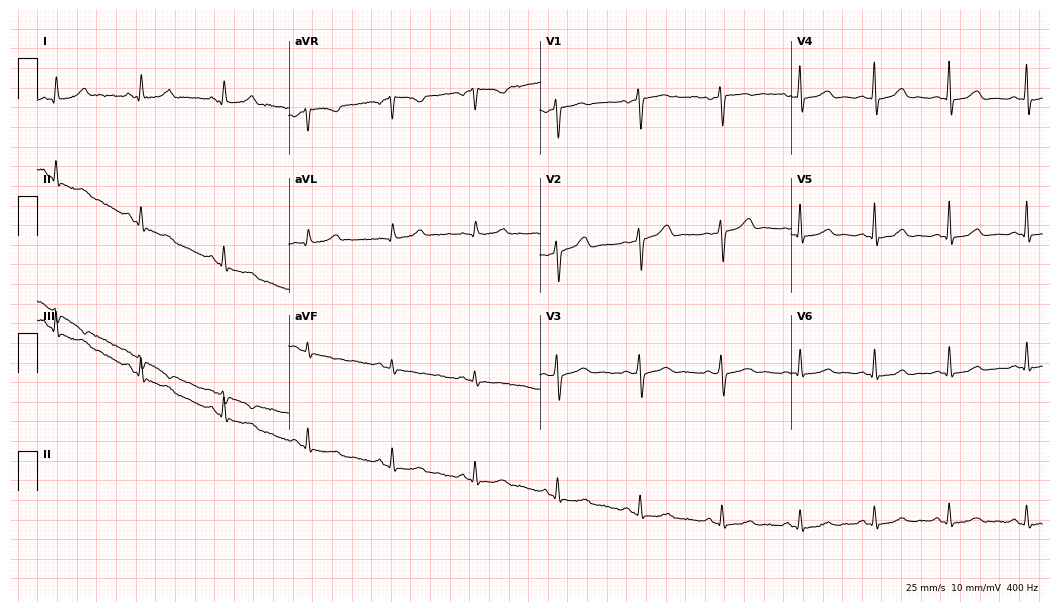
Standard 12-lead ECG recorded from a woman, 40 years old. Read as a normal ECG.